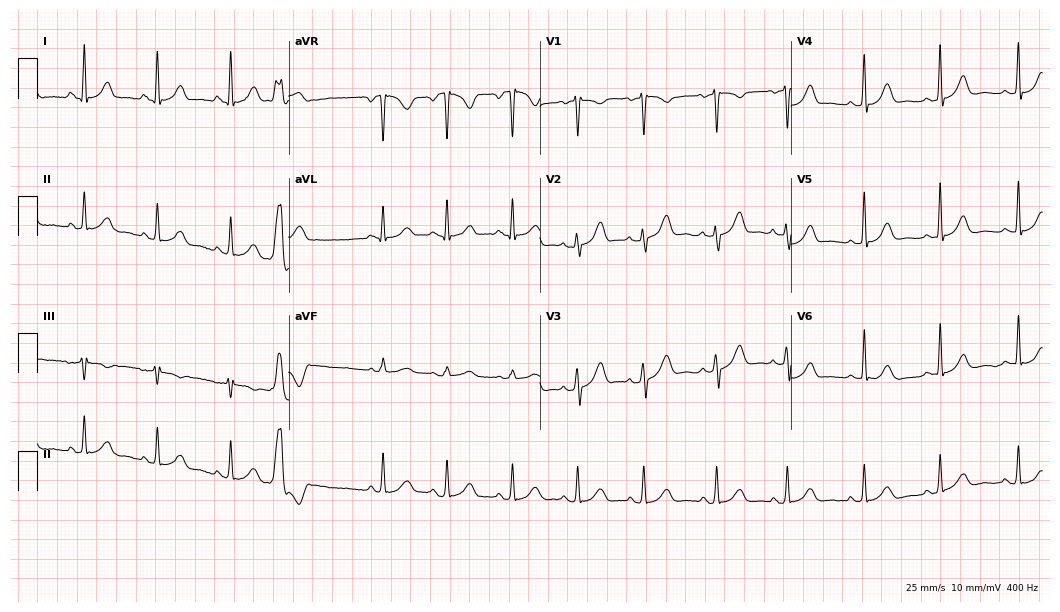
12-lead ECG from a 26-year-old female patient. Recorded interpretation: within normal limits.